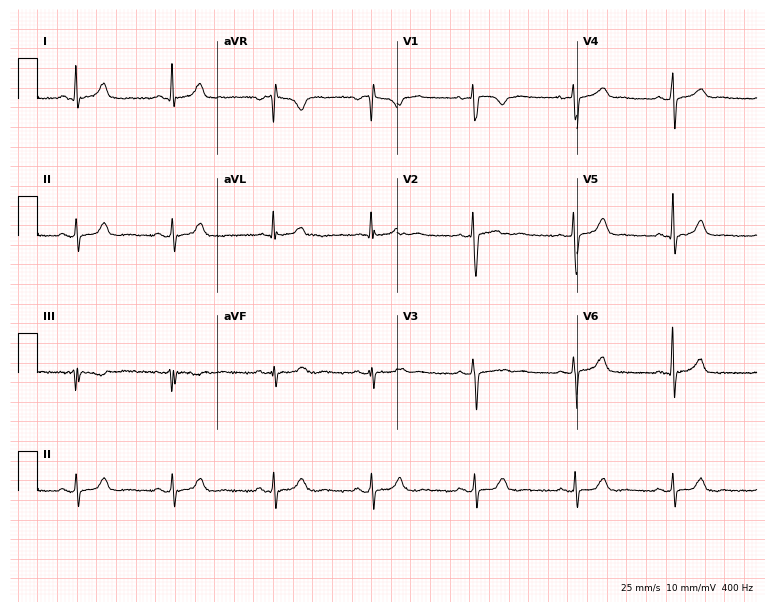
Resting 12-lead electrocardiogram. Patient: a female, 39 years old. Read as a normal ECG.